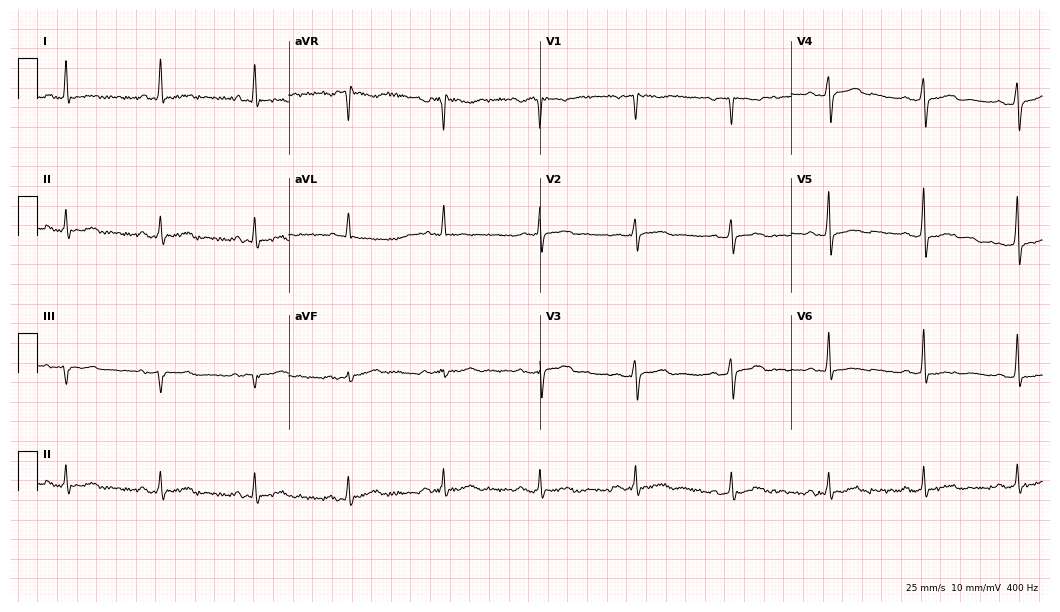
12-lead ECG from a 49-year-old male patient (10.2-second recording at 400 Hz). No first-degree AV block, right bundle branch block (RBBB), left bundle branch block (LBBB), sinus bradycardia, atrial fibrillation (AF) or sinus tachycardia recorded for this tracing. Findings outside these six are not listed.